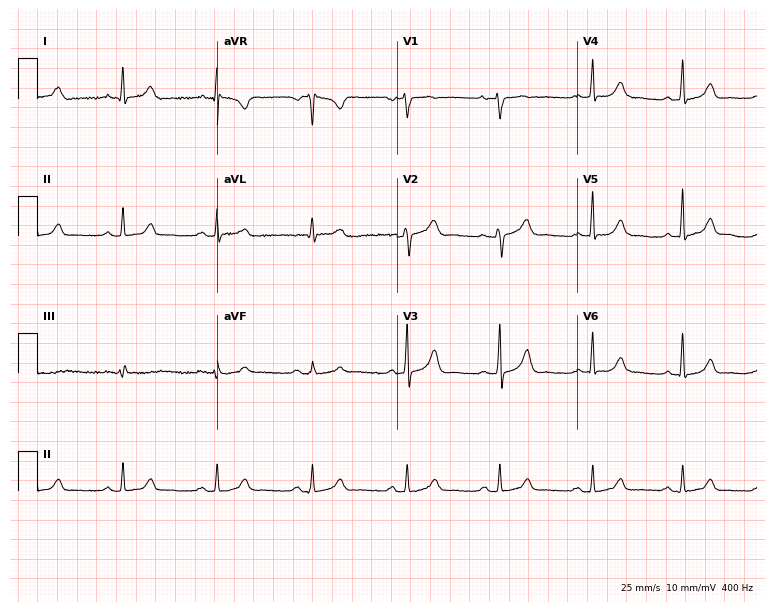
Resting 12-lead electrocardiogram. Patient: a 47-year-old woman. Read as a normal ECG.